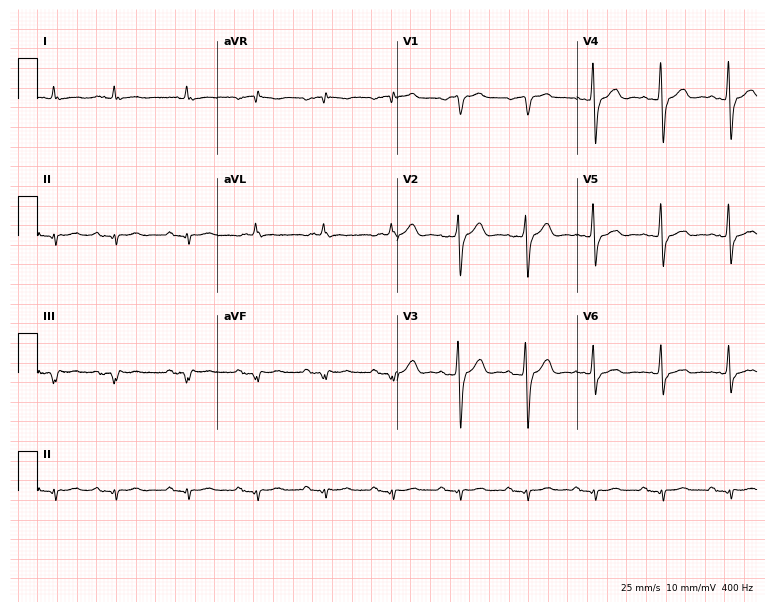
12-lead ECG from a 67-year-old man (7.3-second recording at 400 Hz). No first-degree AV block, right bundle branch block, left bundle branch block, sinus bradycardia, atrial fibrillation or sinus tachycardia recorded for this tracing.